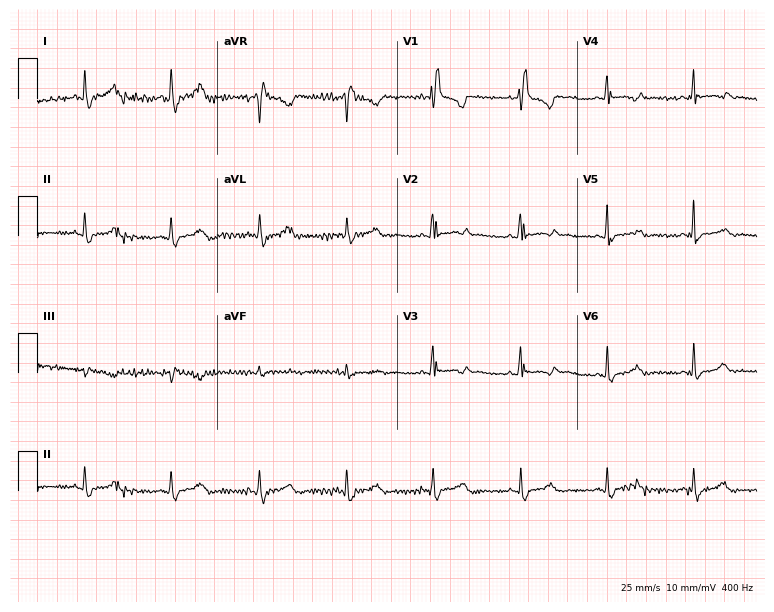
Electrocardiogram (7.3-second recording at 400 Hz), a female patient, 41 years old. Interpretation includes right bundle branch block (RBBB).